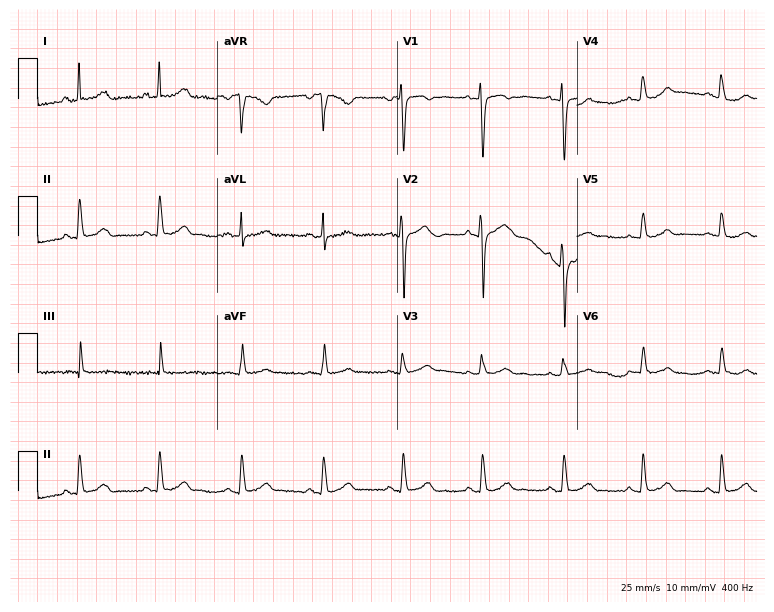
12-lead ECG from a 43-year-old female. Recorded interpretation: within normal limits.